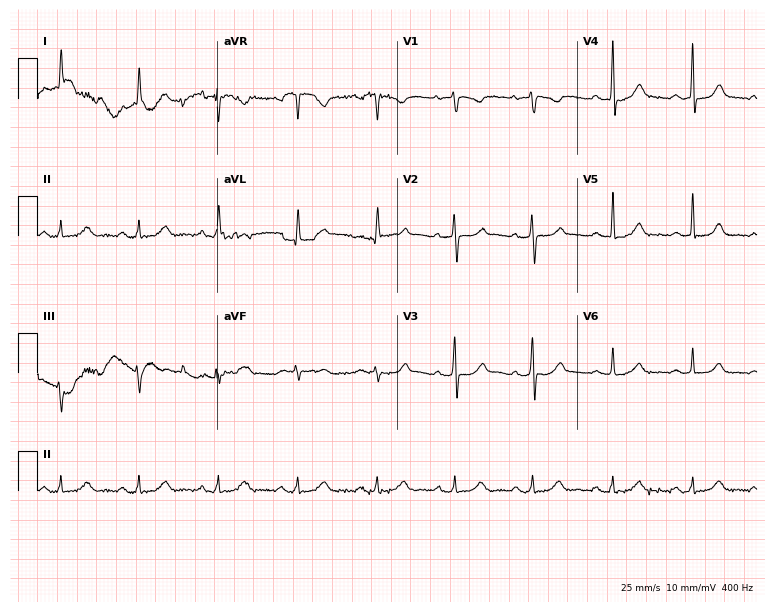
ECG (7.3-second recording at 400 Hz) — an 80-year-old female. Screened for six findings — first-degree AV block, right bundle branch block (RBBB), left bundle branch block (LBBB), sinus bradycardia, atrial fibrillation (AF), sinus tachycardia — none is recorded.